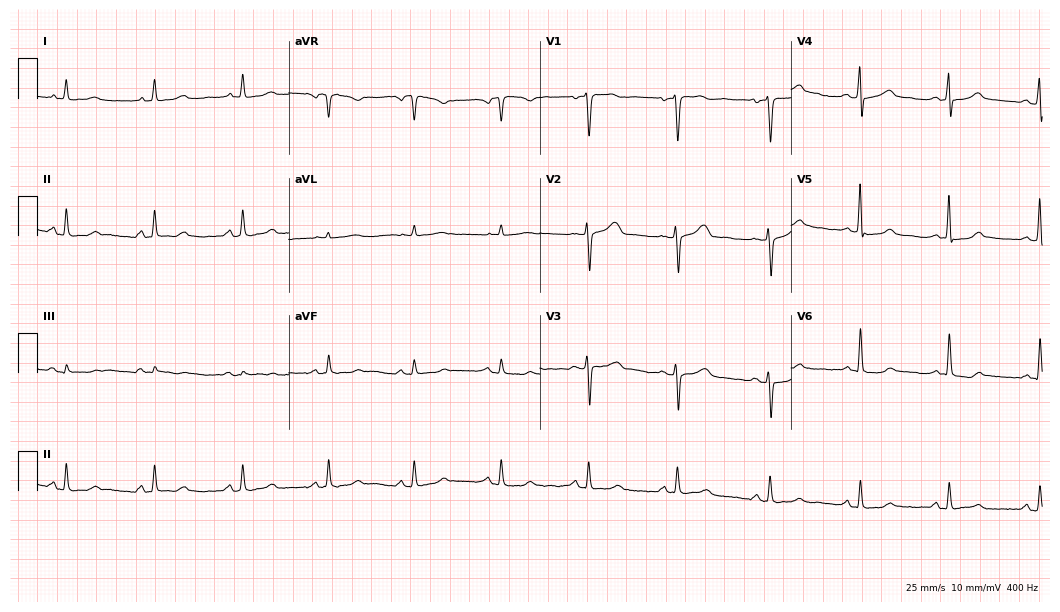
Standard 12-lead ECG recorded from a female patient, 48 years old. None of these six findings is recorded: first-degree AV block, right bundle branch block (RBBB), left bundle branch block (LBBB), sinus bradycardia, atrial fibrillation (AF), sinus tachycardia. Findings outside these six are not listed.